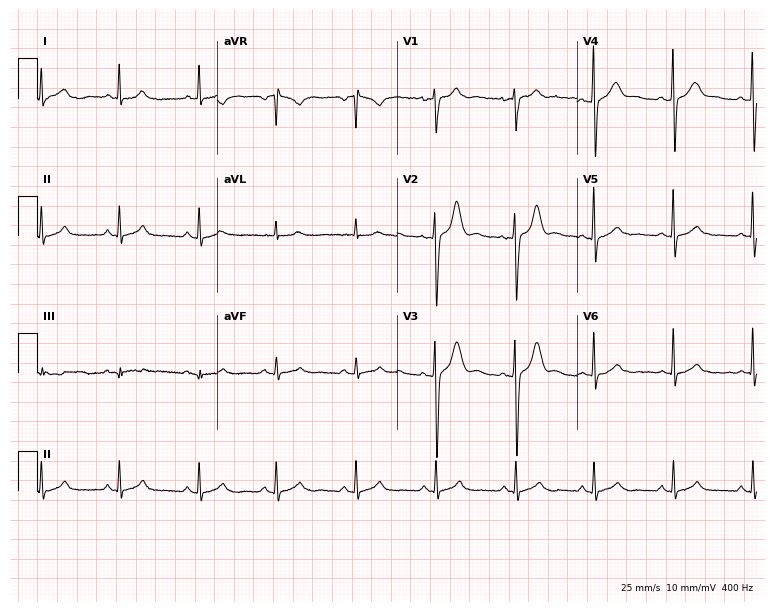
Standard 12-lead ECG recorded from a 29-year-old woman. Read as a normal ECG.